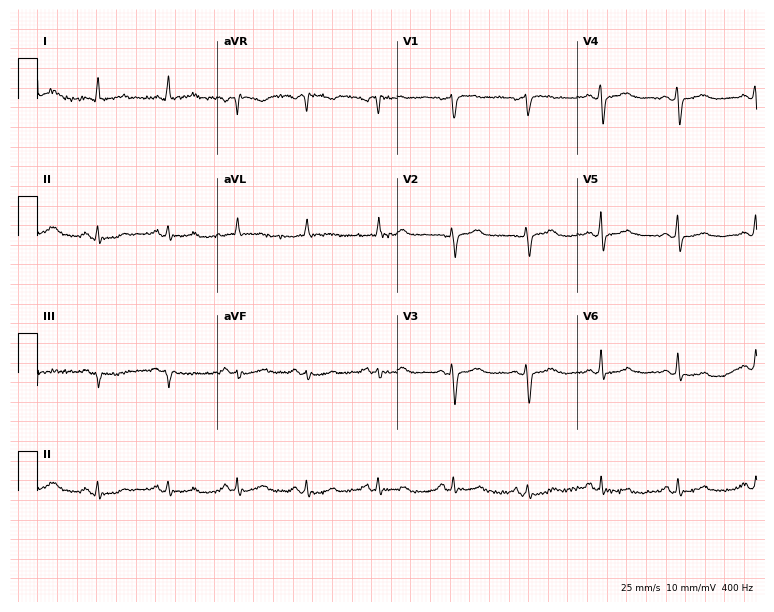
Resting 12-lead electrocardiogram. Patient: a 69-year-old woman. Read as a normal ECG.